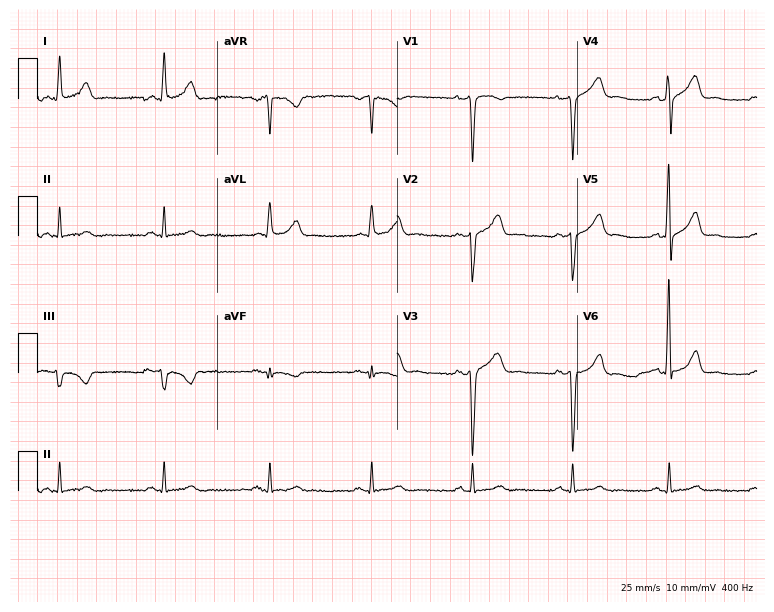
Standard 12-lead ECG recorded from a male patient, 40 years old. None of these six findings is recorded: first-degree AV block, right bundle branch block, left bundle branch block, sinus bradycardia, atrial fibrillation, sinus tachycardia. Only these six findings were labelled.